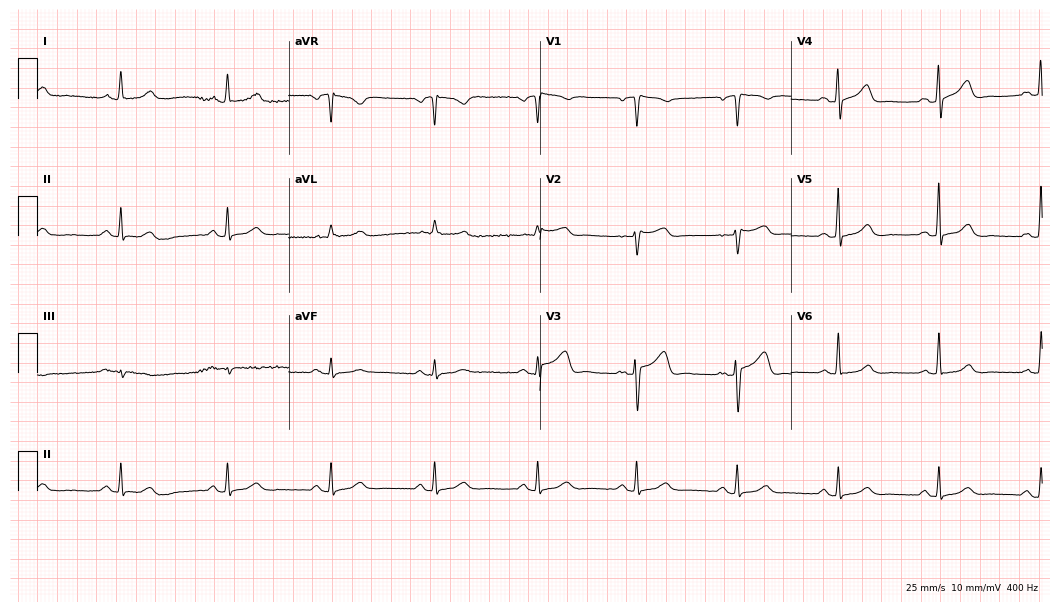
Resting 12-lead electrocardiogram. Patient: a female, 54 years old. Read as a normal ECG.